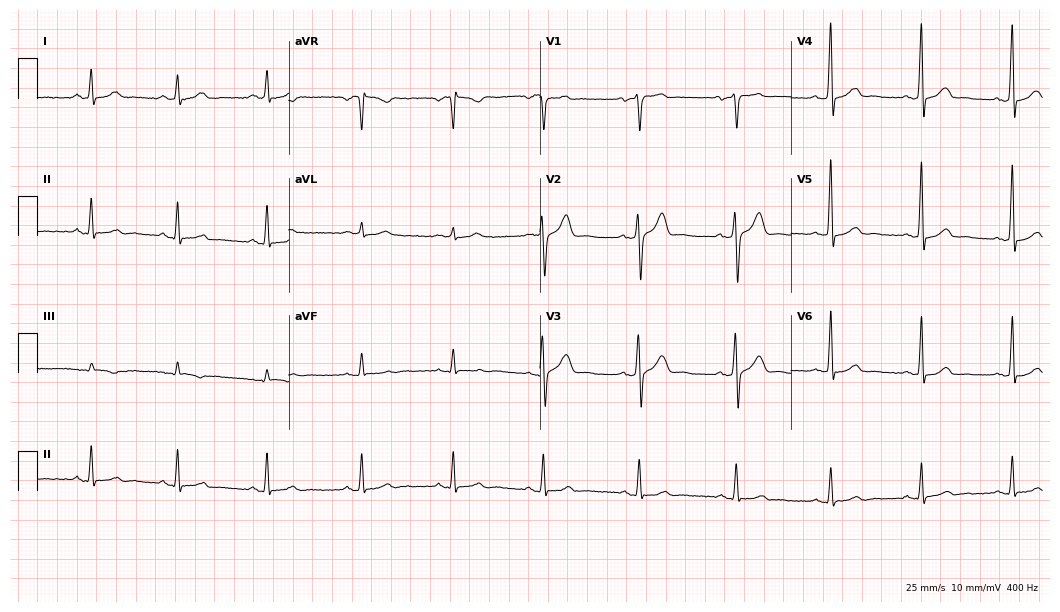
ECG — a 77-year-old male patient. Labelled as a normal ECG.